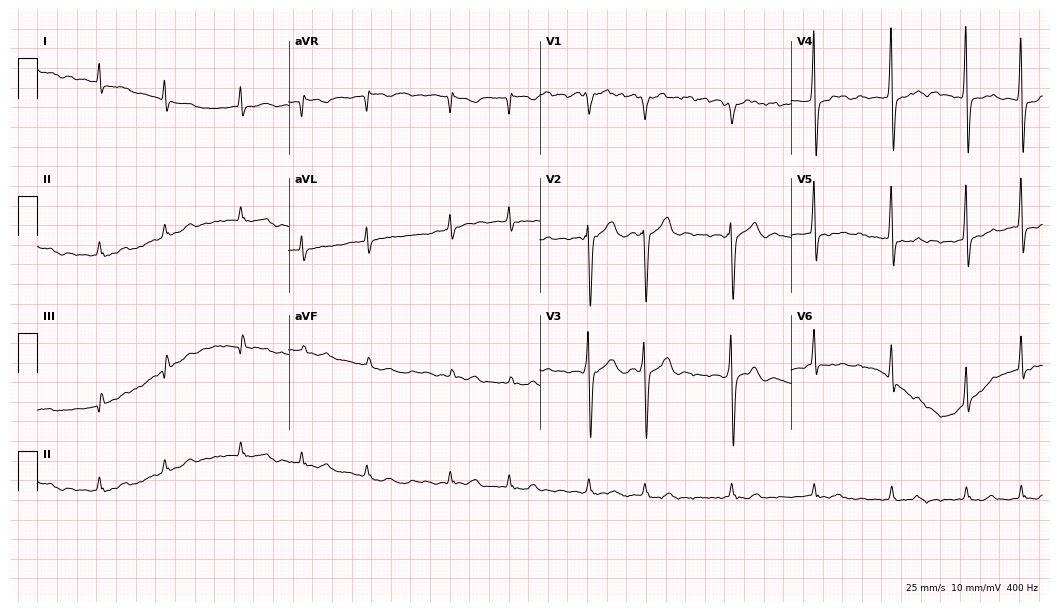
Standard 12-lead ECG recorded from a male, 74 years old (10.2-second recording at 400 Hz). The tracing shows atrial fibrillation (AF).